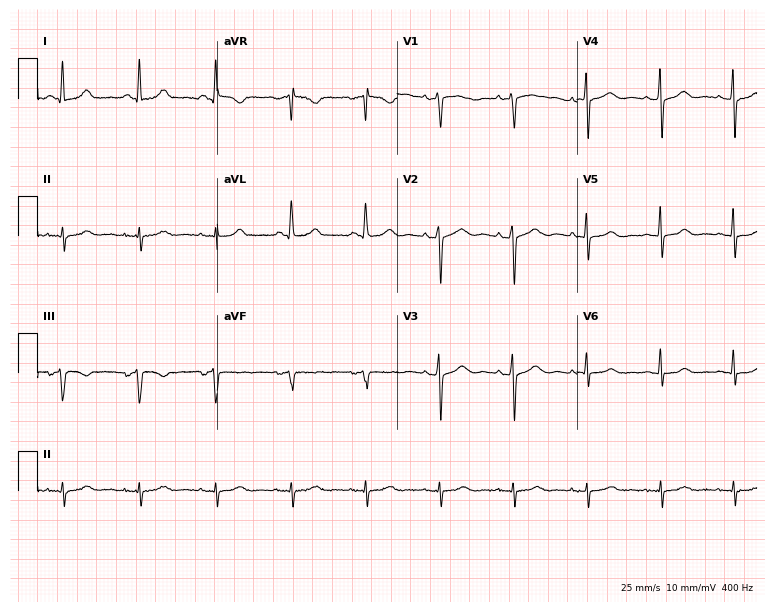
12-lead ECG (7.3-second recording at 400 Hz) from a female, 71 years old. Screened for six findings — first-degree AV block, right bundle branch block, left bundle branch block, sinus bradycardia, atrial fibrillation, sinus tachycardia — none is recorded.